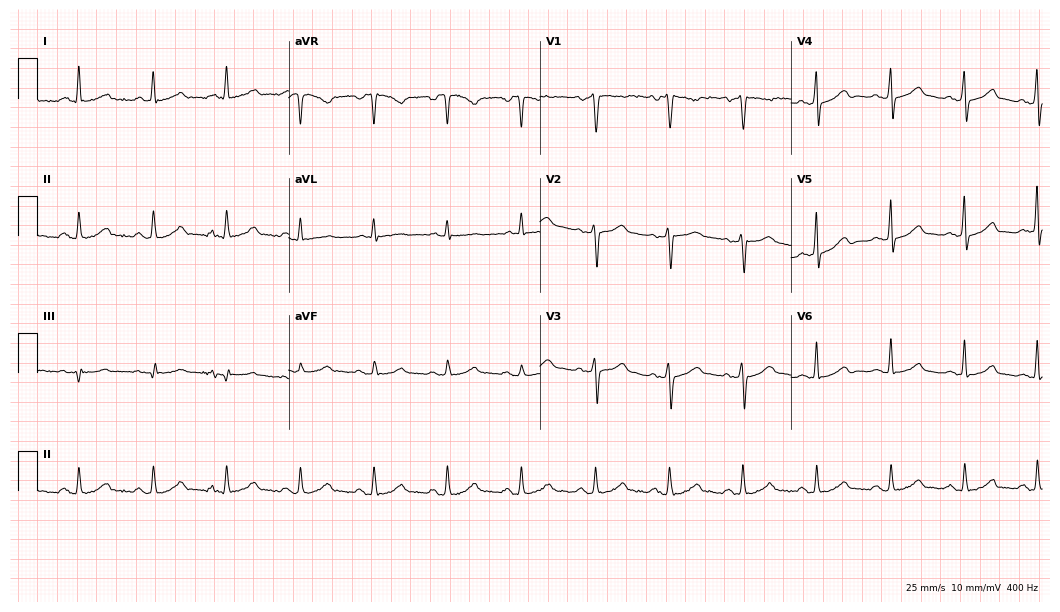
12-lead ECG from a 50-year-old female patient. Recorded interpretation: within normal limits.